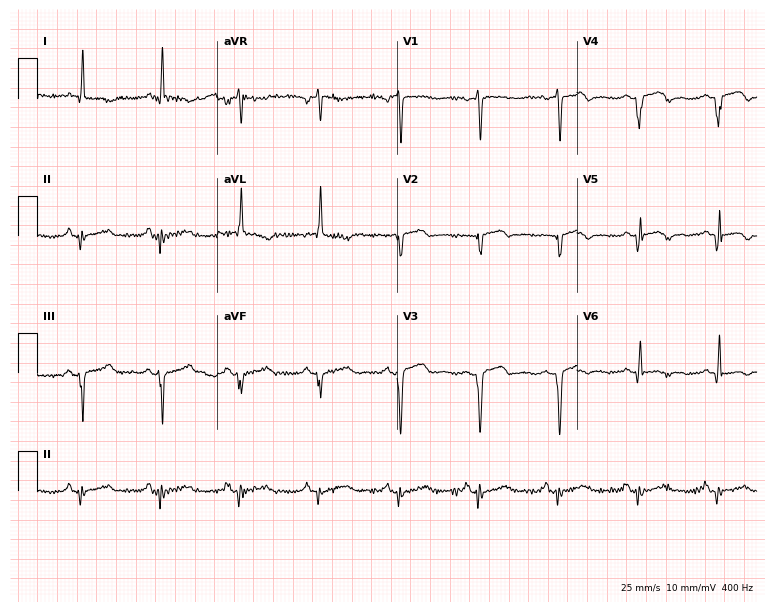
12-lead ECG (7.3-second recording at 400 Hz) from a female patient, 75 years old. Screened for six findings — first-degree AV block, right bundle branch block (RBBB), left bundle branch block (LBBB), sinus bradycardia, atrial fibrillation (AF), sinus tachycardia — none is recorded. Only these six findings were labelled.